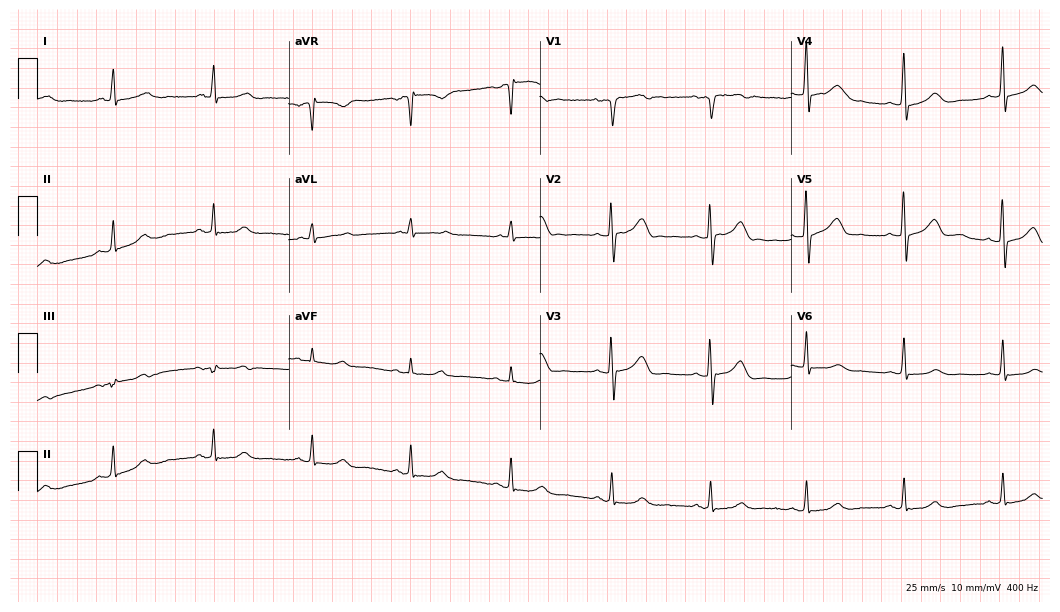
12-lead ECG (10.2-second recording at 400 Hz) from a 58-year-old male patient. Labelled as a normal ECG.